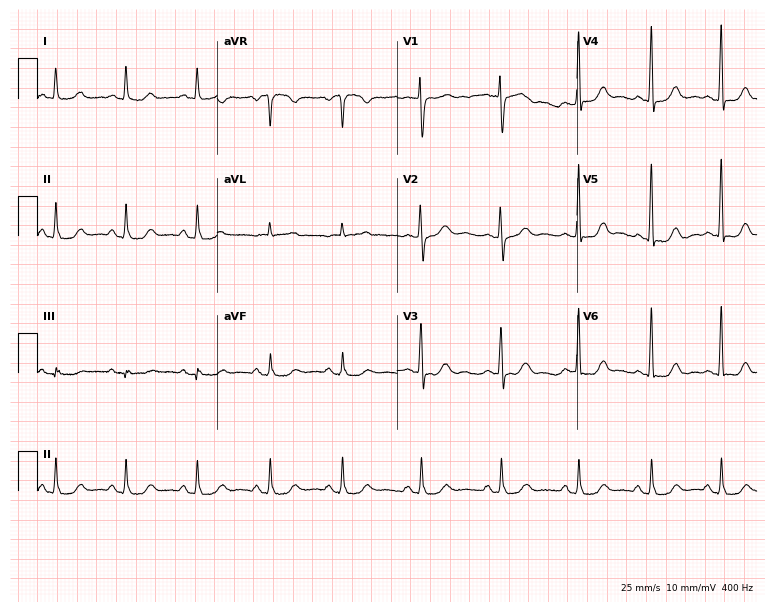
ECG — a 62-year-old woman. Labelled as a normal ECG.